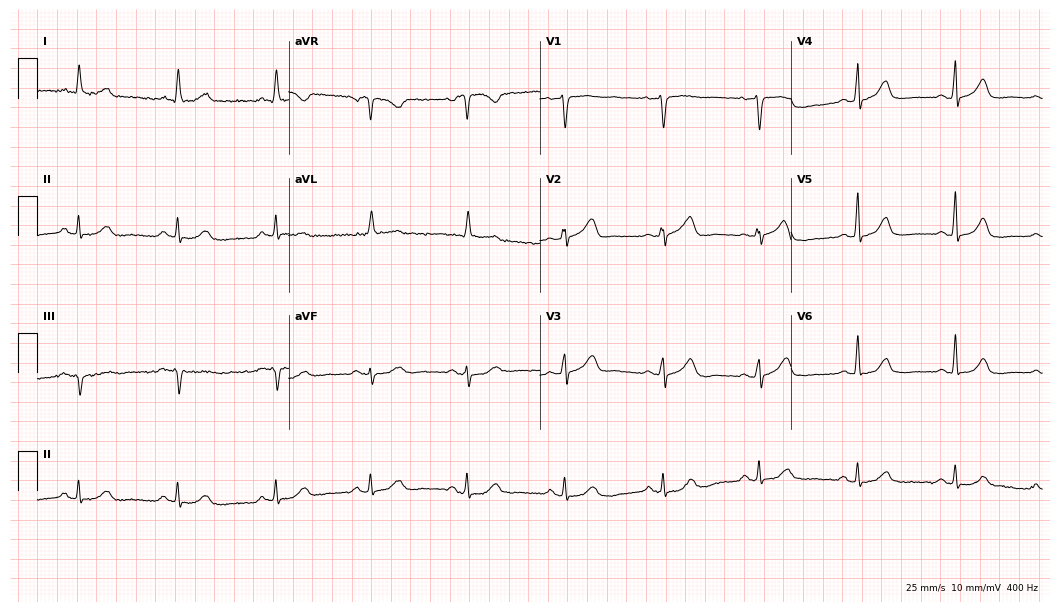
12-lead ECG from a female, 58 years old. Labelled as a normal ECG.